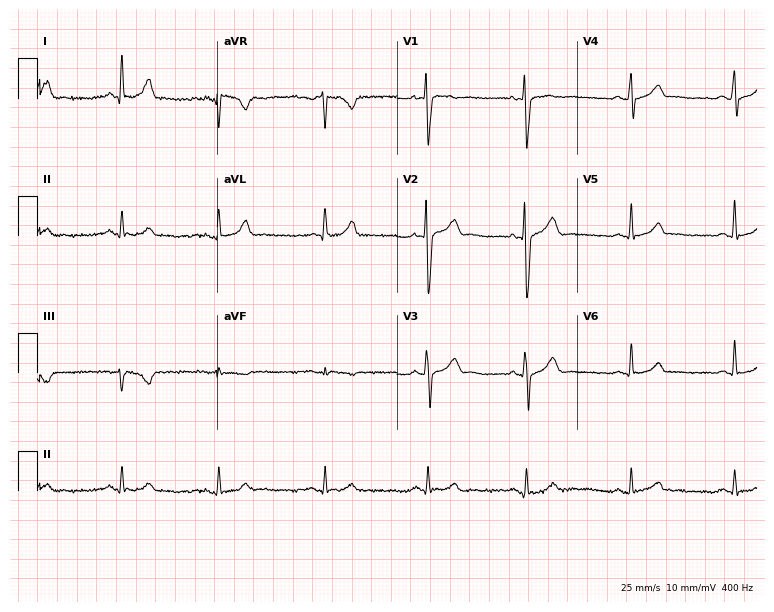
Standard 12-lead ECG recorded from a male patient, 30 years old. Read as a normal ECG.